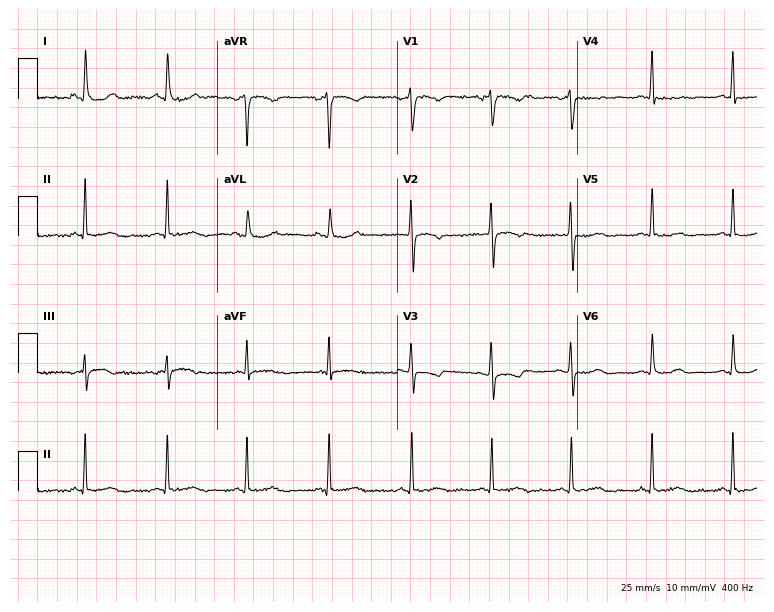
Standard 12-lead ECG recorded from a female patient, 55 years old (7.3-second recording at 400 Hz). None of these six findings is recorded: first-degree AV block, right bundle branch block (RBBB), left bundle branch block (LBBB), sinus bradycardia, atrial fibrillation (AF), sinus tachycardia. Only these six findings were labelled.